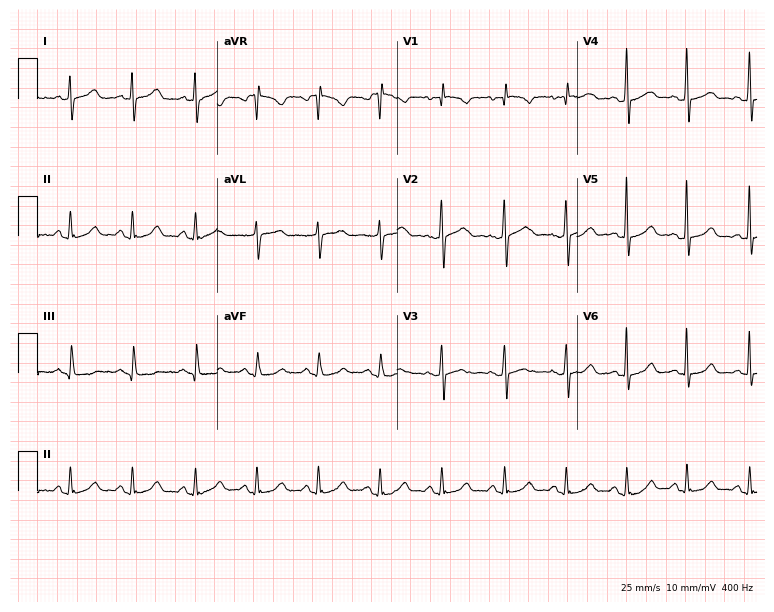
12-lead ECG from a 61-year-old female. Recorded interpretation: within normal limits.